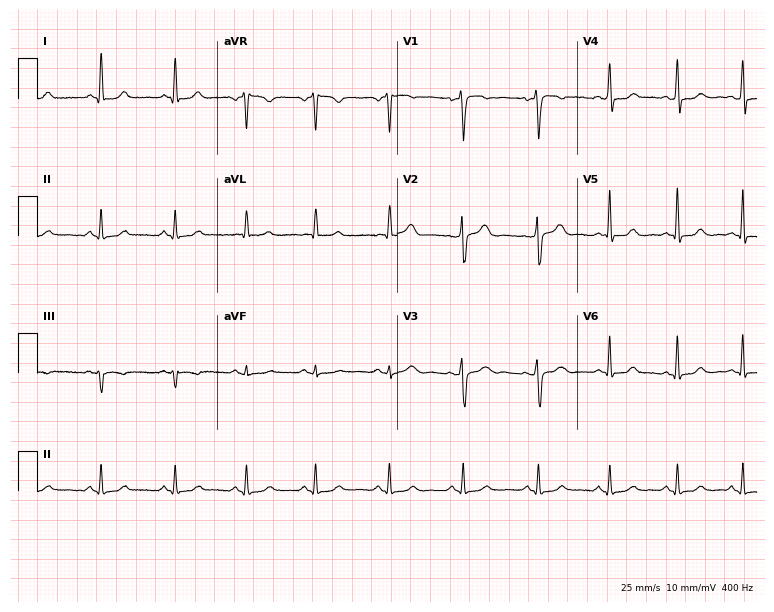
Standard 12-lead ECG recorded from a 57-year-old female (7.3-second recording at 400 Hz). Read as a normal ECG.